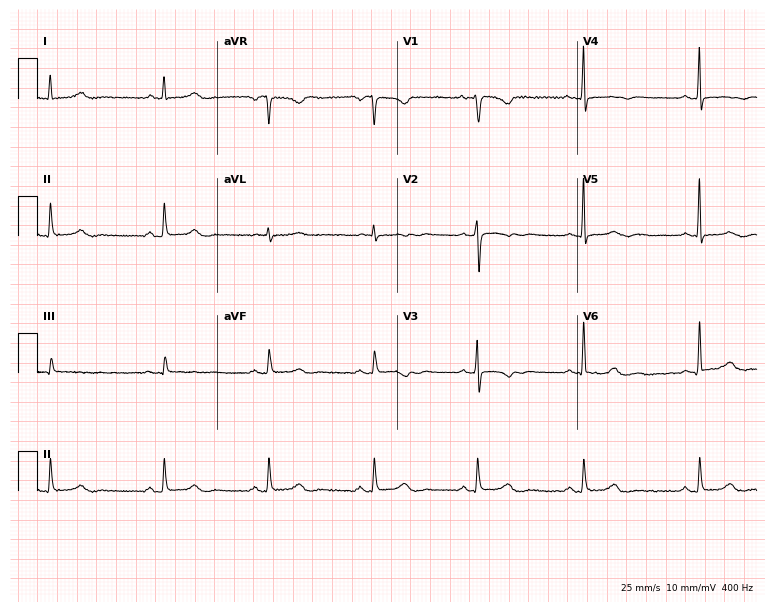
12-lead ECG from a female patient, 47 years old (7.3-second recording at 400 Hz). No first-degree AV block, right bundle branch block, left bundle branch block, sinus bradycardia, atrial fibrillation or sinus tachycardia recorded for this tracing. Other findings, if any, are not listed.